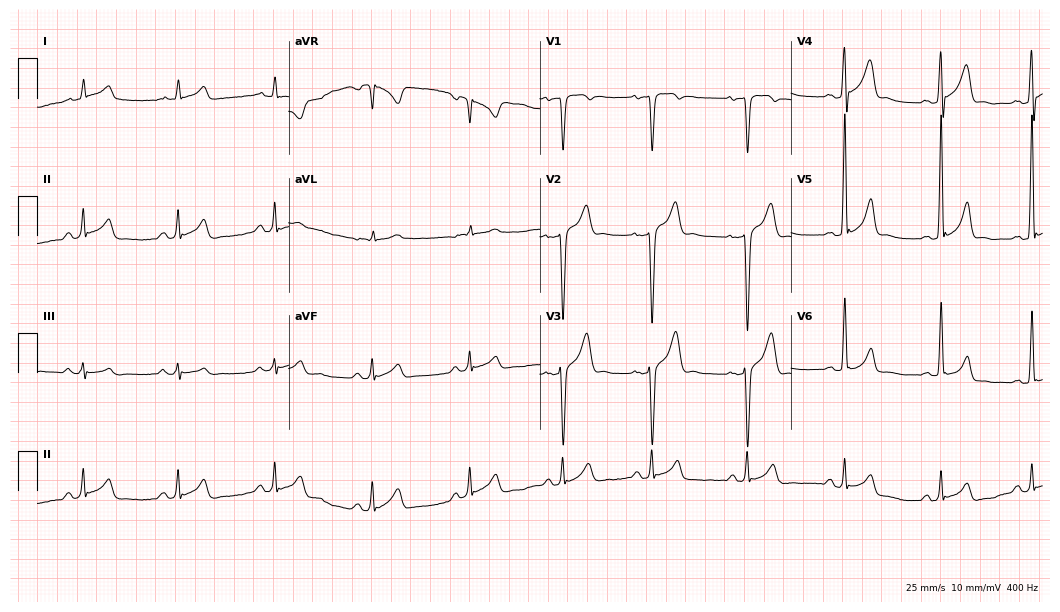
Resting 12-lead electrocardiogram (10.2-second recording at 400 Hz). Patient: a 24-year-old male. Read as a normal ECG.